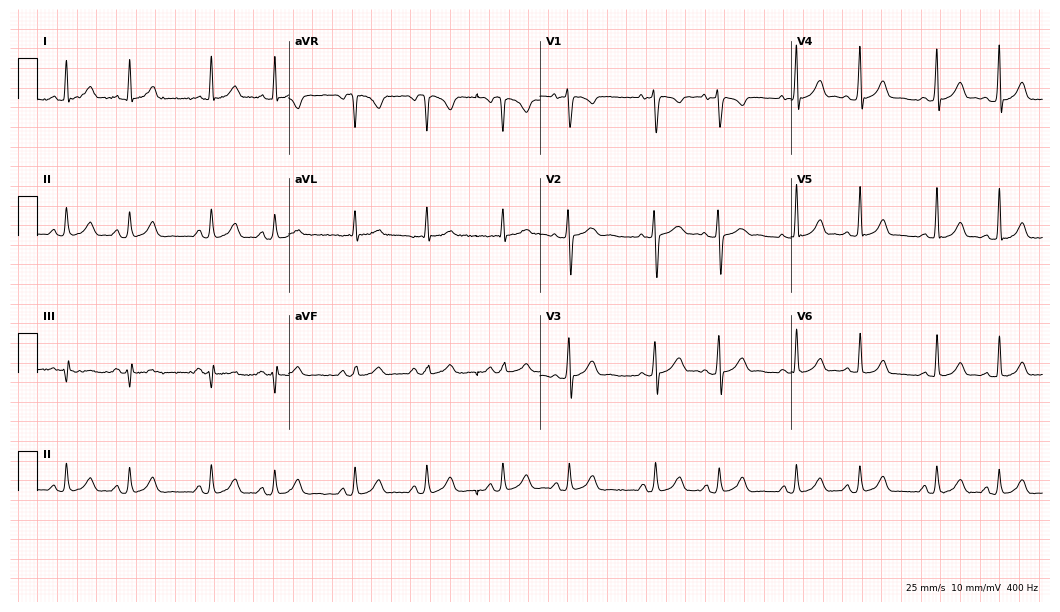
Standard 12-lead ECG recorded from a 22-year-old female patient. None of these six findings is recorded: first-degree AV block, right bundle branch block, left bundle branch block, sinus bradycardia, atrial fibrillation, sinus tachycardia.